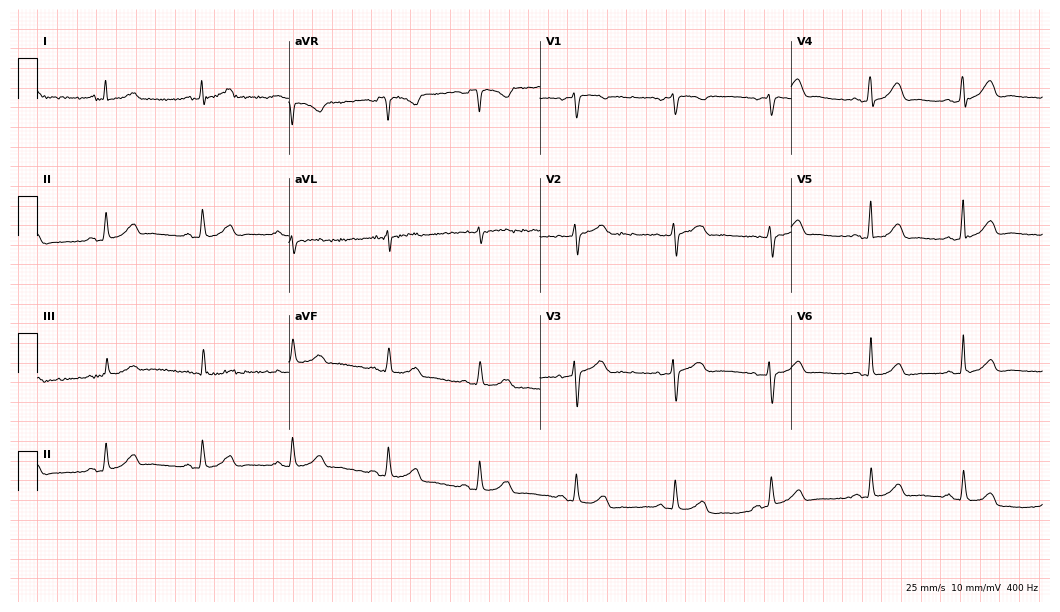
Standard 12-lead ECG recorded from a female patient, 50 years old (10.2-second recording at 400 Hz). Read as a normal ECG.